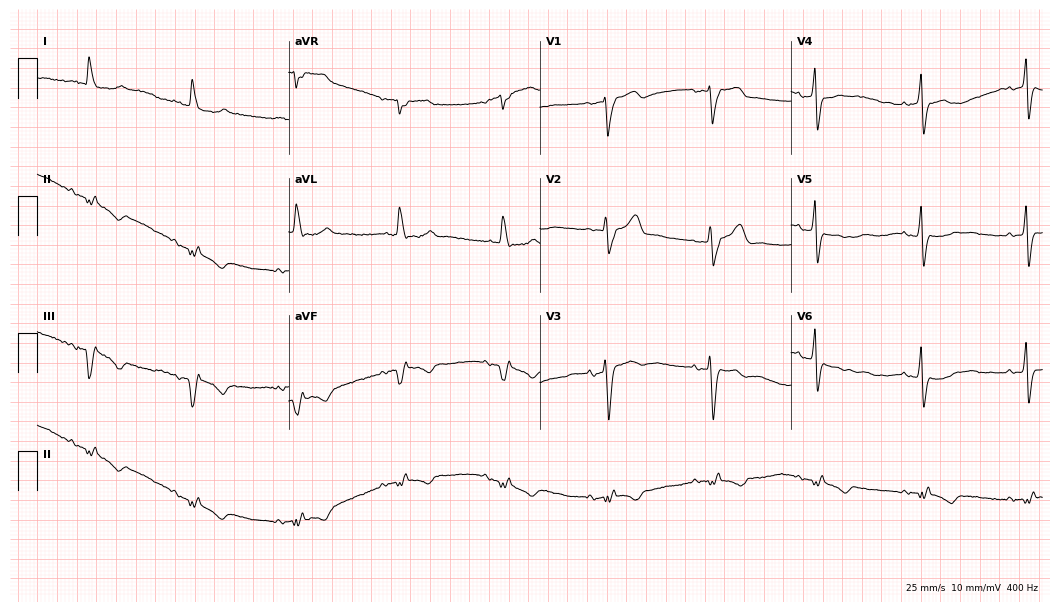
Resting 12-lead electrocardiogram (10.2-second recording at 400 Hz). Patient: a female, 76 years old. None of these six findings is recorded: first-degree AV block, right bundle branch block, left bundle branch block, sinus bradycardia, atrial fibrillation, sinus tachycardia.